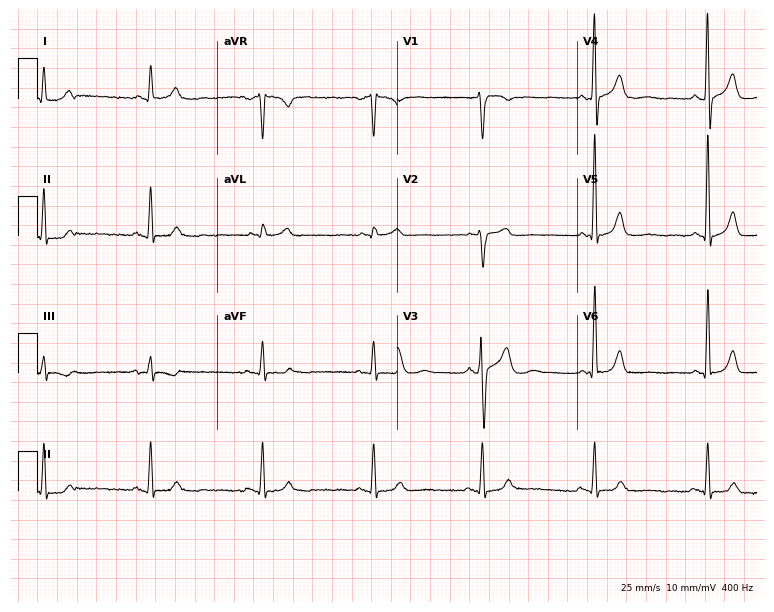
12-lead ECG from a male, 60 years old. Recorded interpretation: within normal limits.